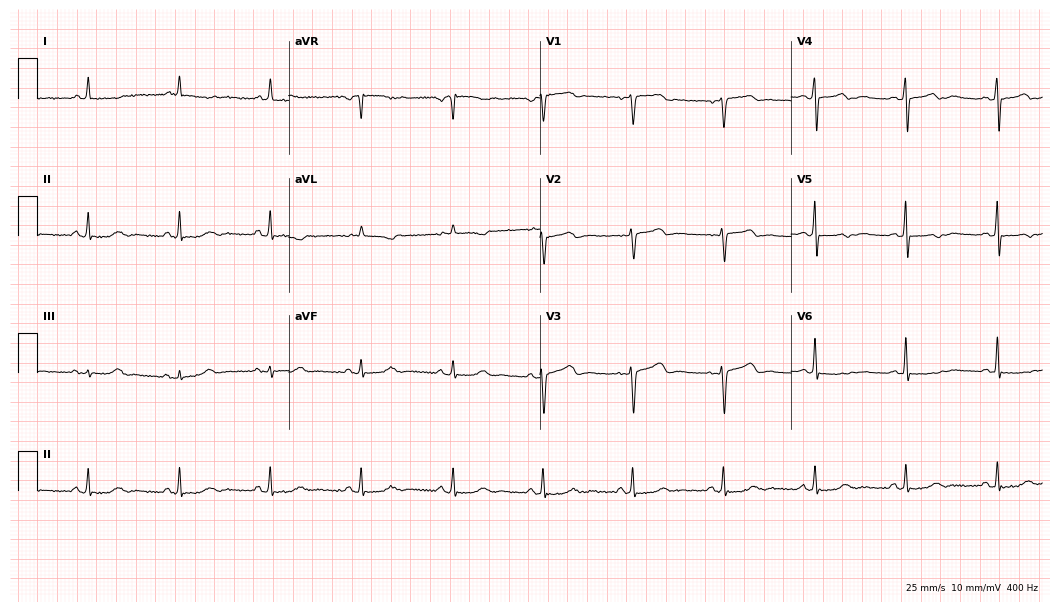
12-lead ECG from a 48-year-old female patient. No first-degree AV block, right bundle branch block, left bundle branch block, sinus bradycardia, atrial fibrillation or sinus tachycardia recorded for this tracing.